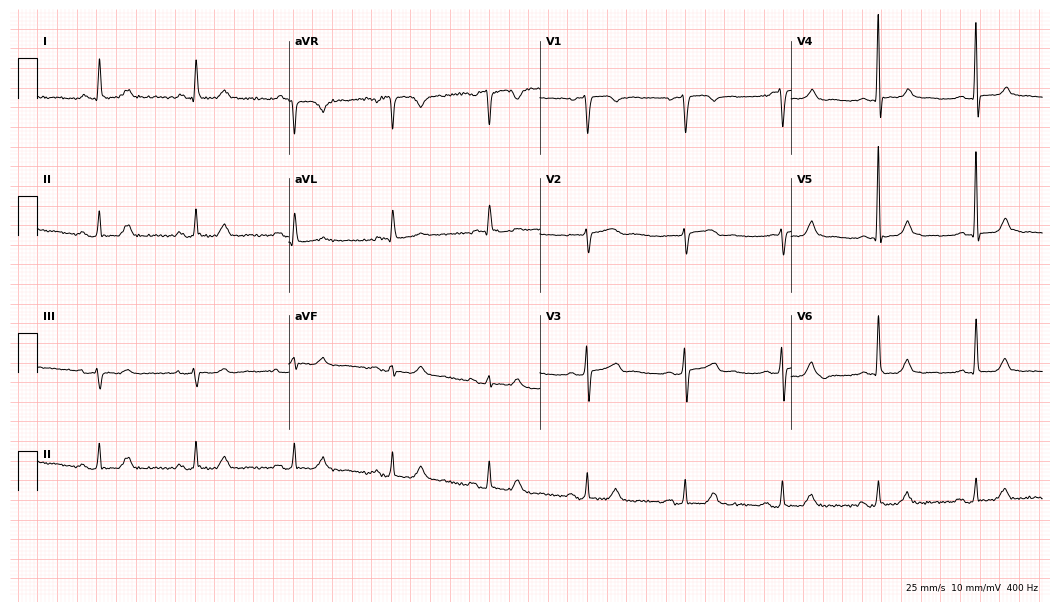
Standard 12-lead ECG recorded from a male, 66 years old. None of these six findings is recorded: first-degree AV block, right bundle branch block (RBBB), left bundle branch block (LBBB), sinus bradycardia, atrial fibrillation (AF), sinus tachycardia.